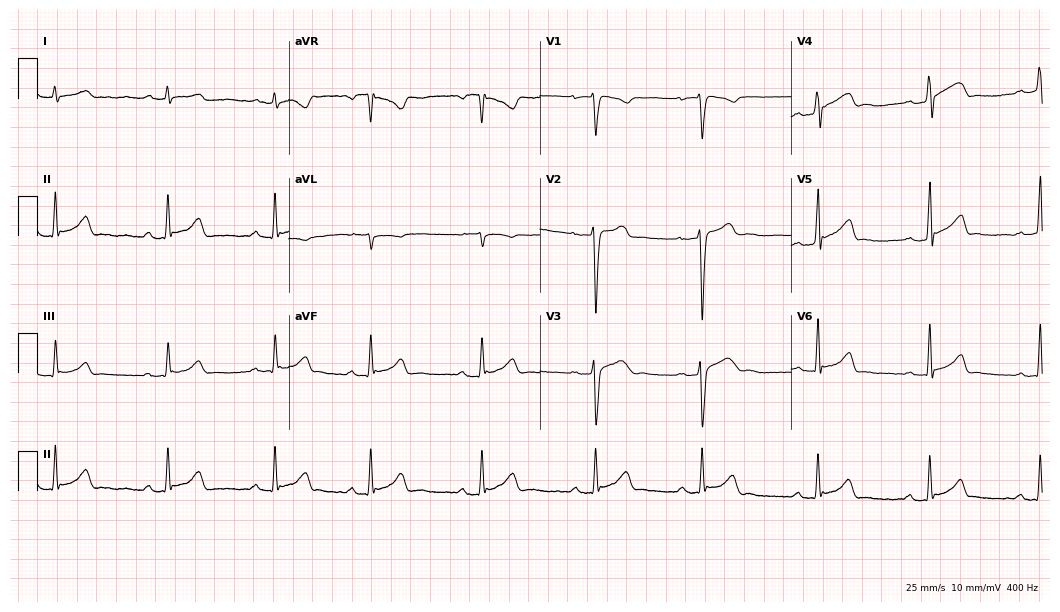
Standard 12-lead ECG recorded from a male, 28 years old (10.2-second recording at 400 Hz). None of these six findings is recorded: first-degree AV block, right bundle branch block, left bundle branch block, sinus bradycardia, atrial fibrillation, sinus tachycardia. Findings outside these six are not listed.